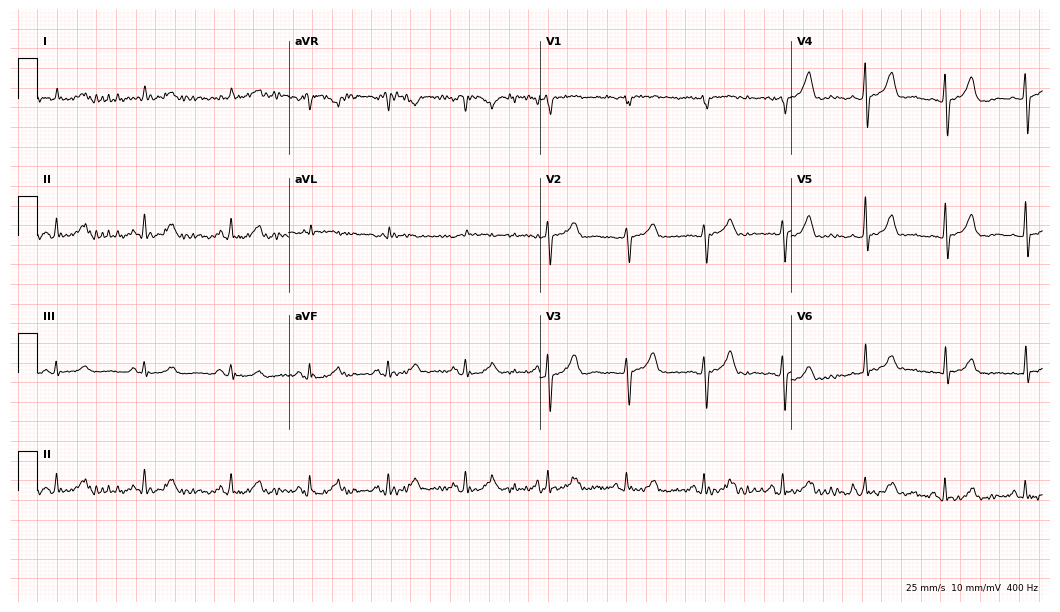
ECG — a man, 73 years old. Labelled as a normal ECG.